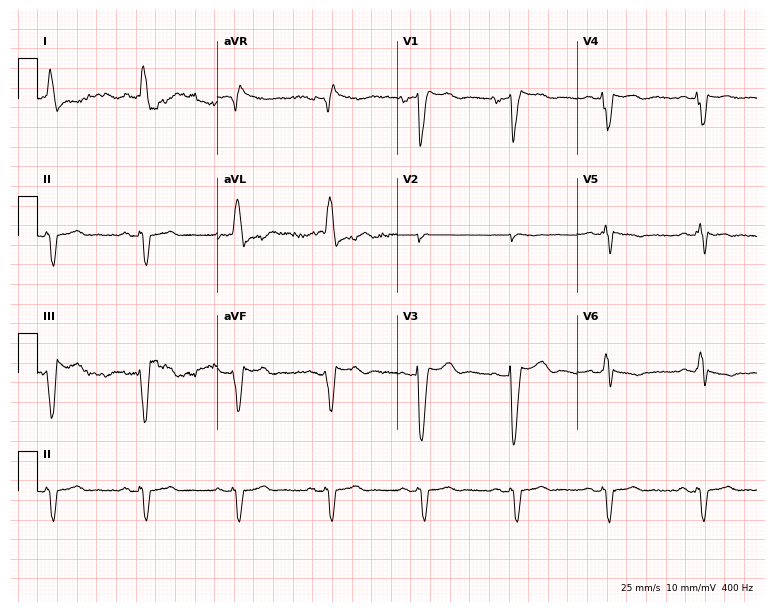
Standard 12-lead ECG recorded from an 81-year-old female patient (7.3-second recording at 400 Hz). None of these six findings is recorded: first-degree AV block, right bundle branch block, left bundle branch block, sinus bradycardia, atrial fibrillation, sinus tachycardia.